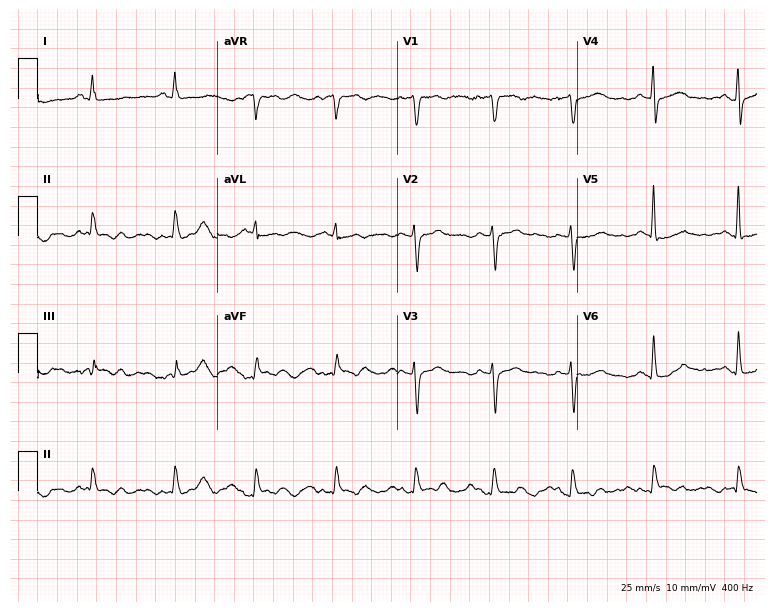
ECG — a 64-year-old female. Screened for six findings — first-degree AV block, right bundle branch block, left bundle branch block, sinus bradycardia, atrial fibrillation, sinus tachycardia — none is recorded.